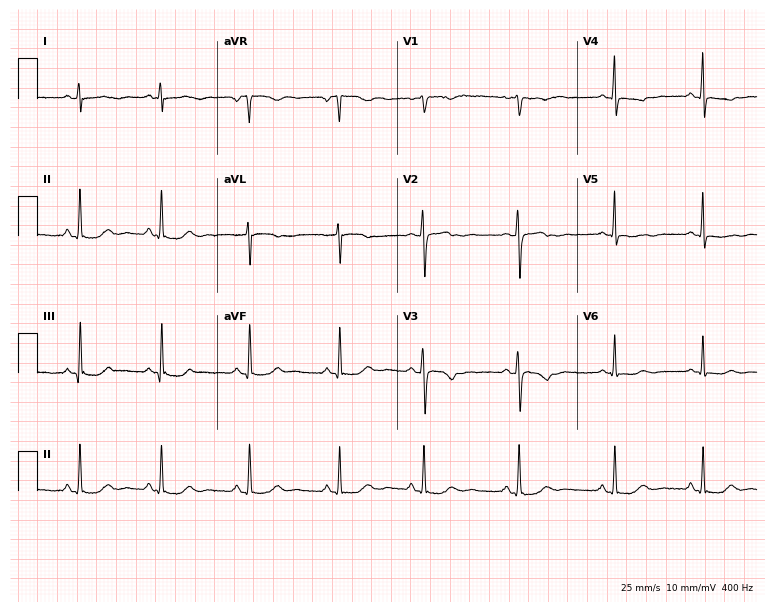
12-lead ECG (7.3-second recording at 400 Hz) from a female, 26 years old. Screened for six findings — first-degree AV block, right bundle branch block, left bundle branch block, sinus bradycardia, atrial fibrillation, sinus tachycardia — none is recorded. Other findings, if any, are not listed.